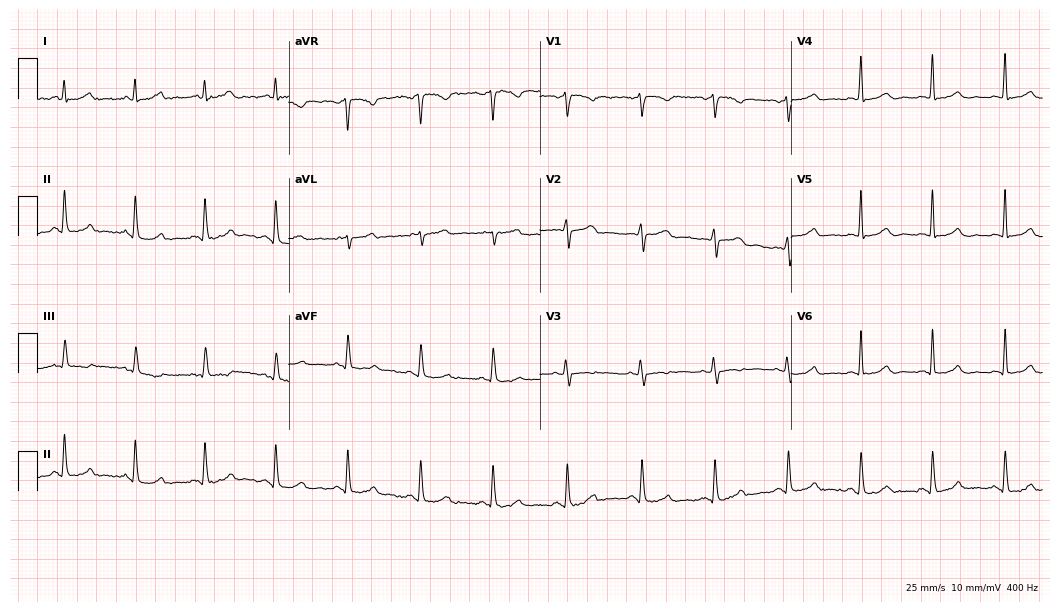
Resting 12-lead electrocardiogram. Patient: a female, 46 years old. Read as a normal ECG.